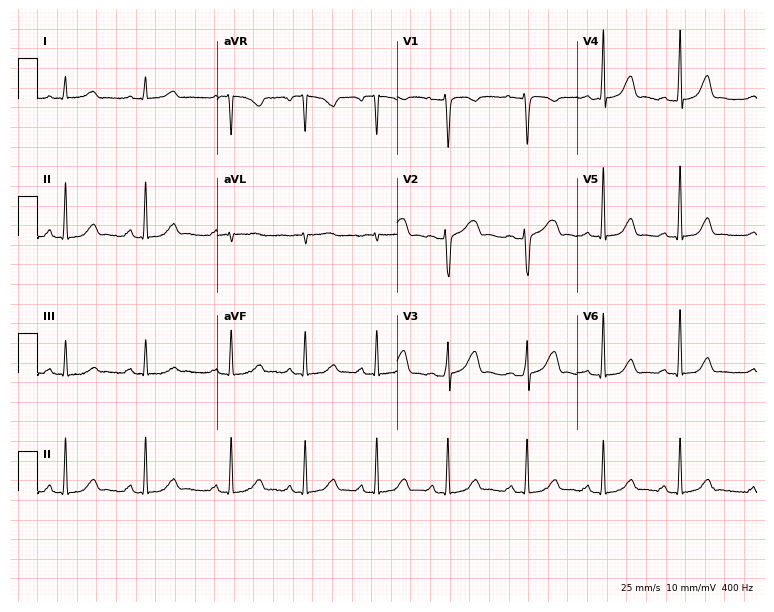
Resting 12-lead electrocardiogram. Patient: a 35-year-old female. Read as a normal ECG.